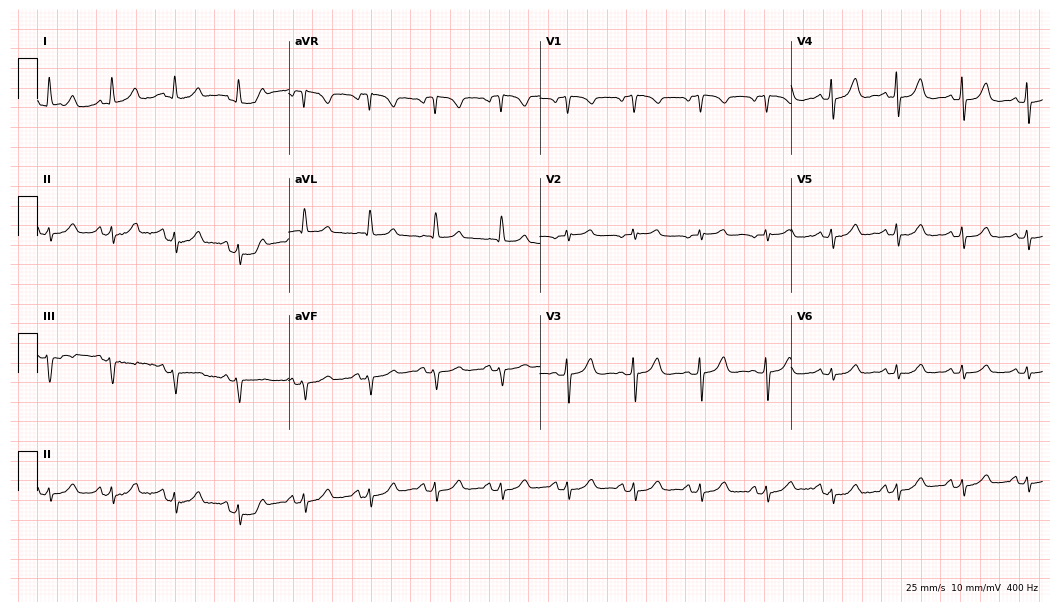
Standard 12-lead ECG recorded from a female patient, 76 years old (10.2-second recording at 400 Hz). Read as a normal ECG.